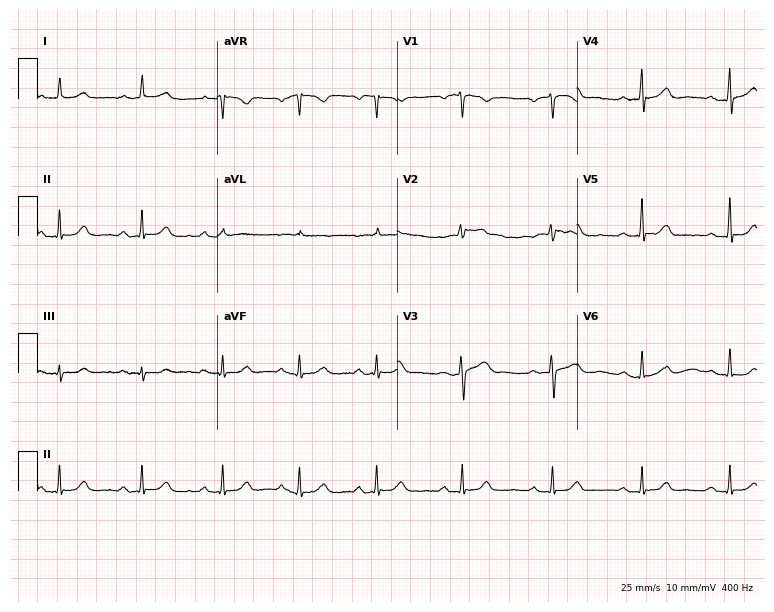
ECG (7.3-second recording at 400 Hz) — a woman, 54 years old. Labelled as a normal ECG.